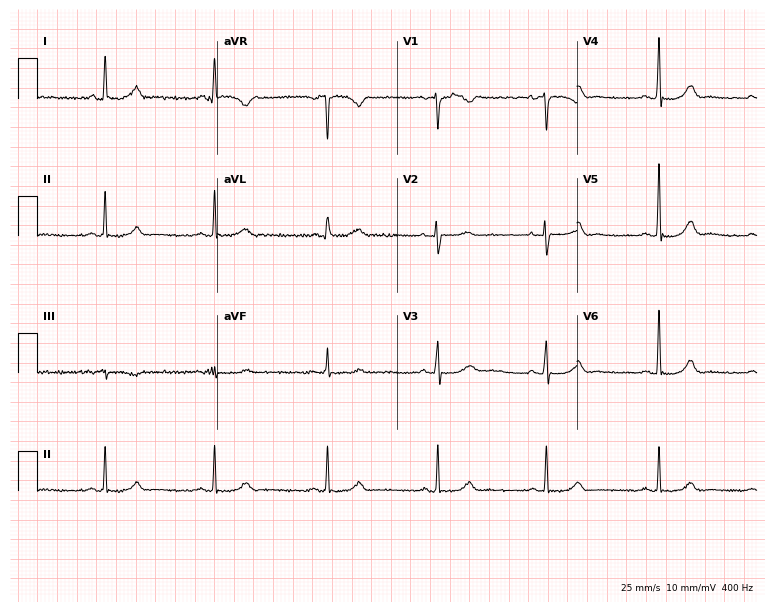
Standard 12-lead ECG recorded from a female patient, 60 years old. Read as a normal ECG.